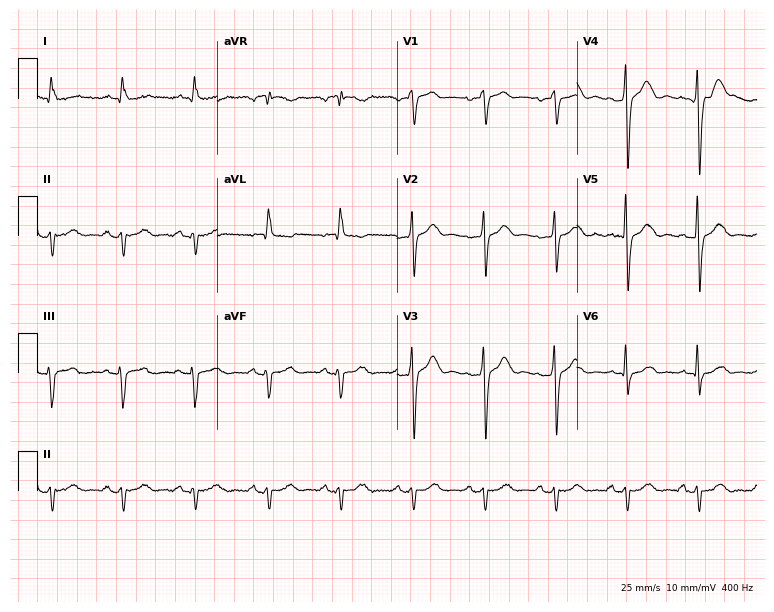
Resting 12-lead electrocardiogram. Patient: a 63-year-old man. None of these six findings is recorded: first-degree AV block, right bundle branch block, left bundle branch block, sinus bradycardia, atrial fibrillation, sinus tachycardia. Findings outside these six are not listed.